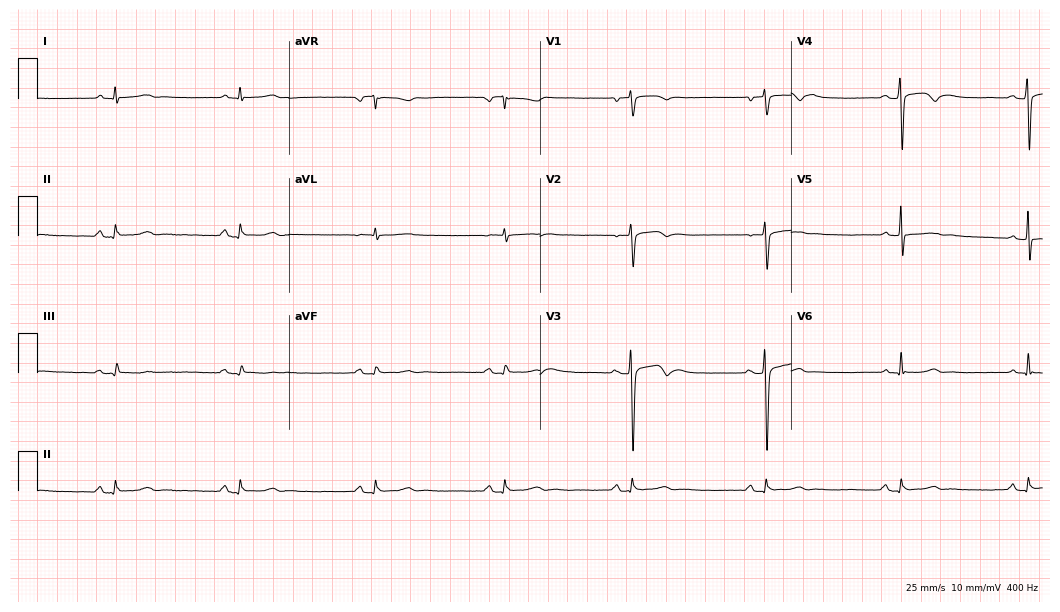
12-lead ECG from a male patient, 42 years old (10.2-second recording at 400 Hz). Shows sinus bradycardia (a sinus rate of 50 beats per minute or less).